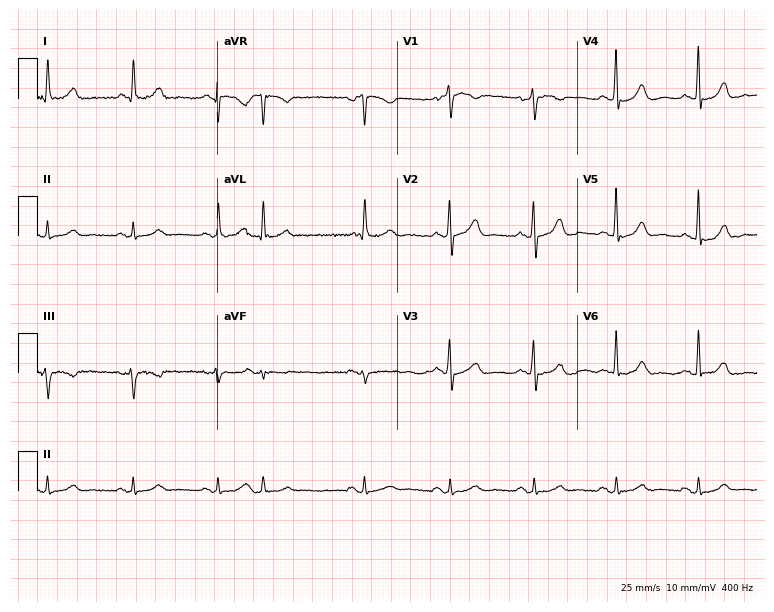
Resting 12-lead electrocardiogram. Patient: a woman, 69 years old. Read as a normal ECG.